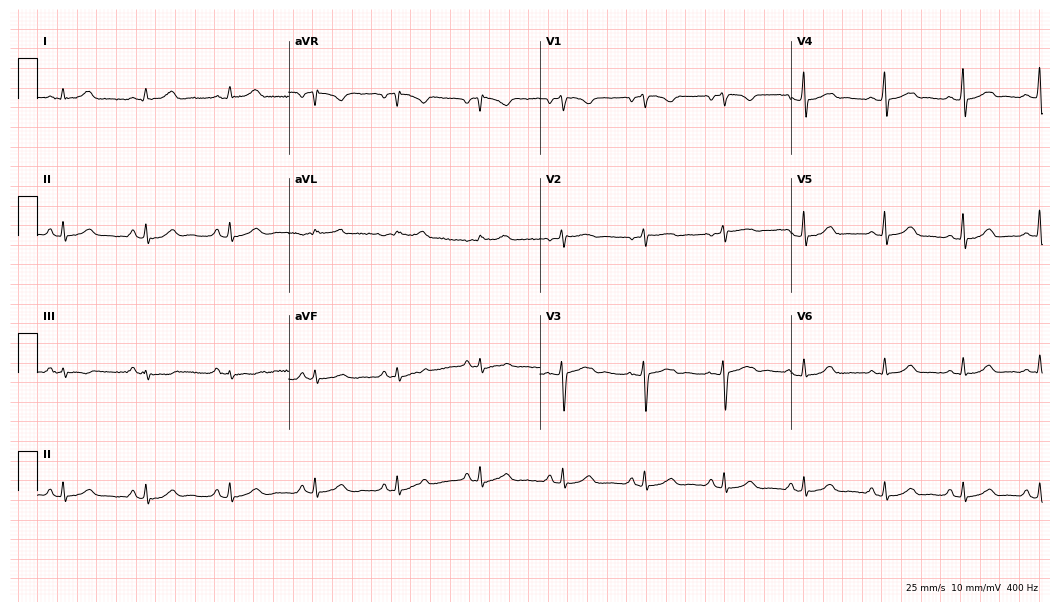
Electrocardiogram, a 20-year-old female. Overall reading on record: normal ECG.